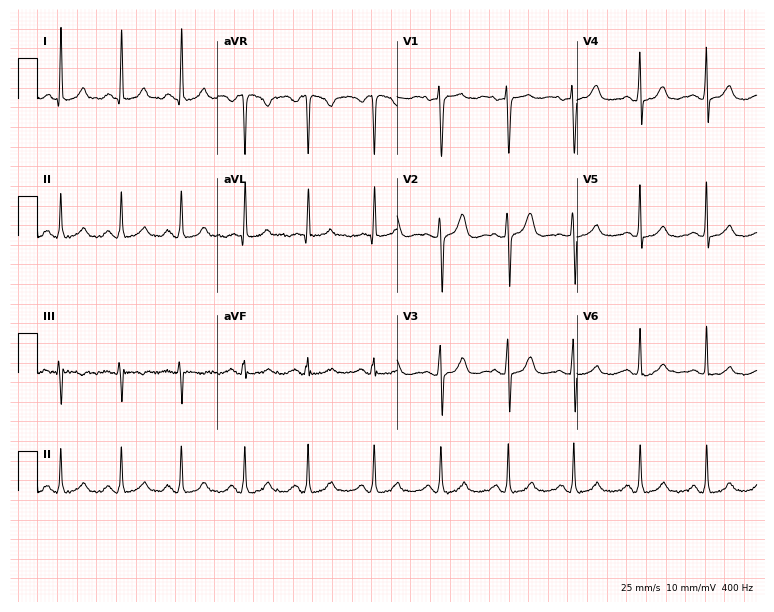
12-lead ECG (7.3-second recording at 400 Hz) from a 33-year-old female patient. Screened for six findings — first-degree AV block, right bundle branch block, left bundle branch block, sinus bradycardia, atrial fibrillation, sinus tachycardia — none is recorded. Other findings, if any, are not listed.